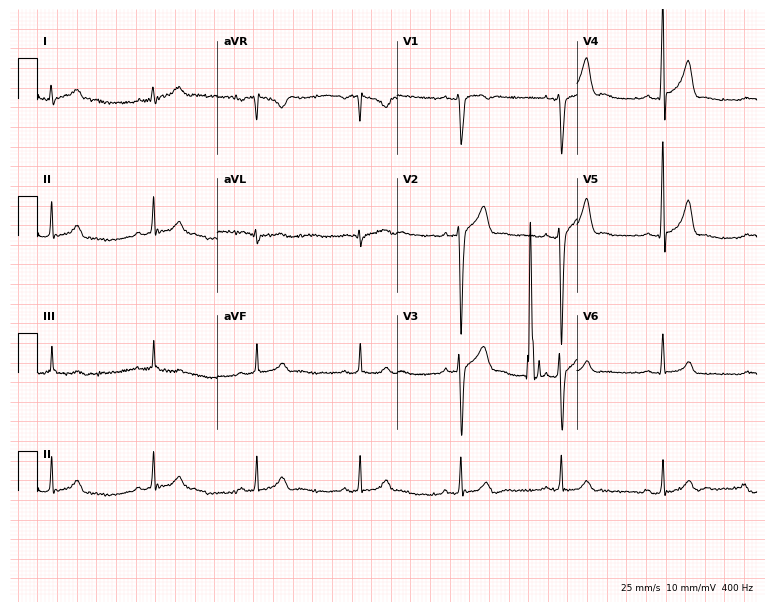
12-lead ECG from a 29-year-old male patient. Screened for six findings — first-degree AV block, right bundle branch block (RBBB), left bundle branch block (LBBB), sinus bradycardia, atrial fibrillation (AF), sinus tachycardia — none is recorded.